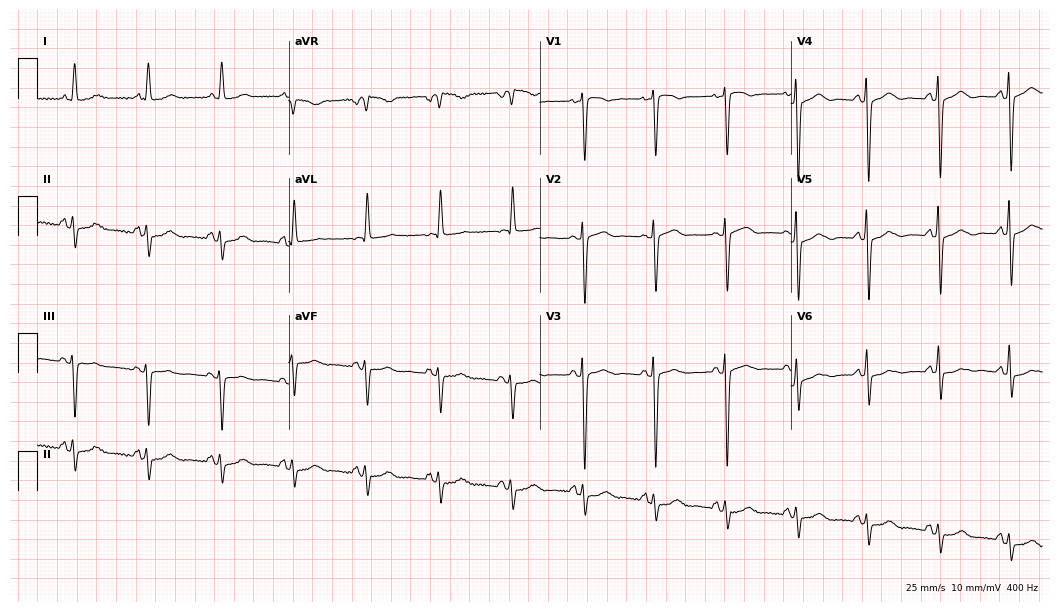
Resting 12-lead electrocardiogram (10.2-second recording at 400 Hz). Patient: a woman, 77 years old. None of these six findings is recorded: first-degree AV block, right bundle branch block, left bundle branch block, sinus bradycardia, atrial fibrillation, sinus tachycardia. Only these six findings were labelled.